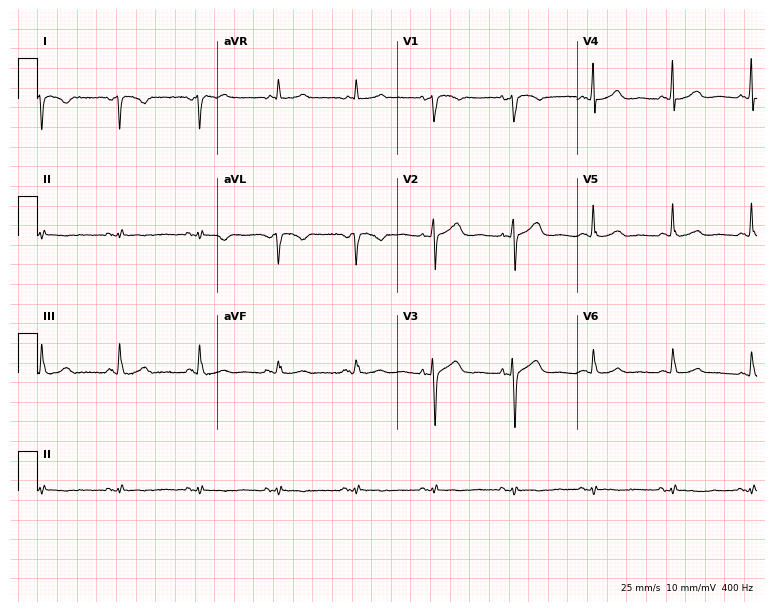
Electrocardiogram (7.3-second recording at 400 Hz), a 65-year-old female. Of the six screened findings (first-degree AV block, right bundle branch block, left bundle branch block, sinus bradycardia, atrial fibrillation, sinus tachycardia), none is recorded.